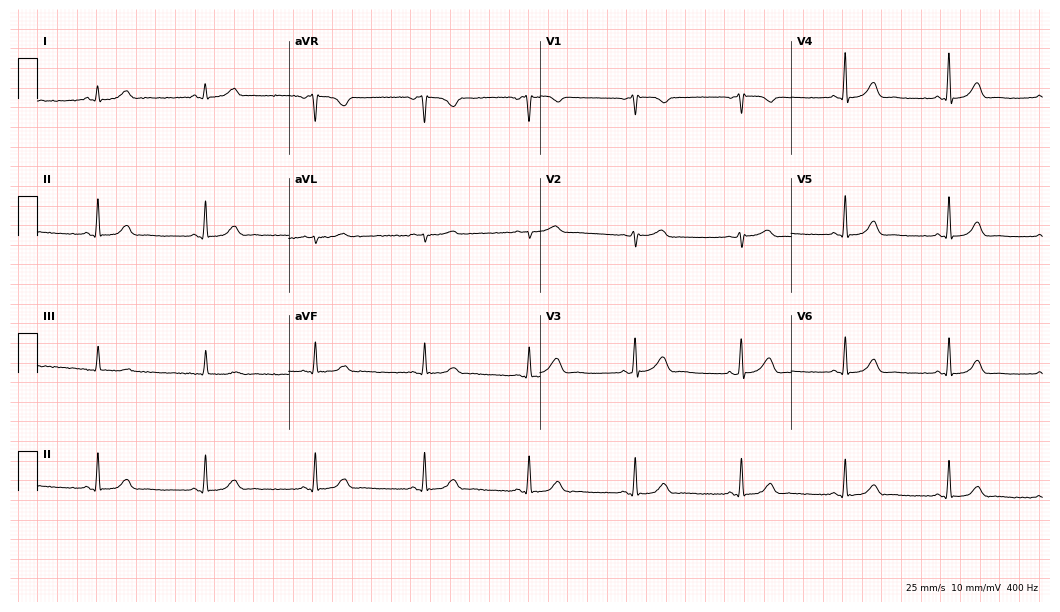
12-lead ECG from a female patient, 58 years old. Recorded interpretation: within normal limits.